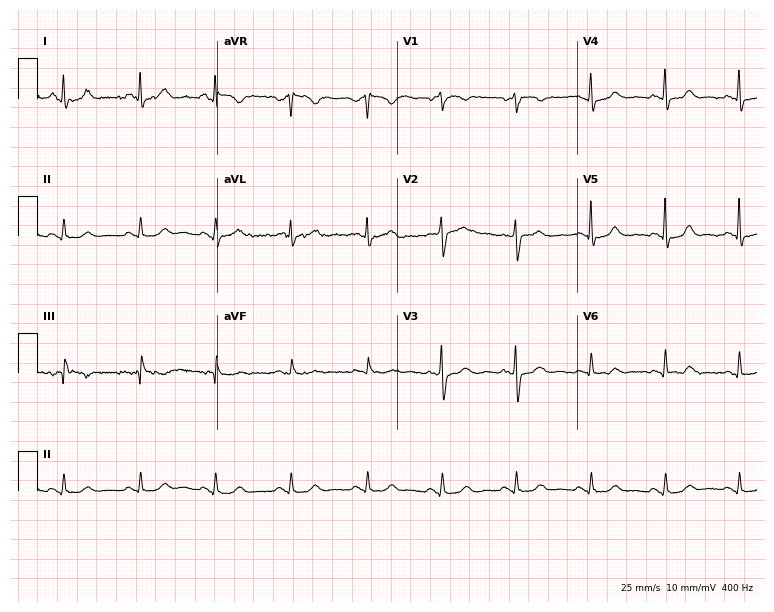
12-lead ECG from a 66-year-old female patient. Labelled as a normal ECG.